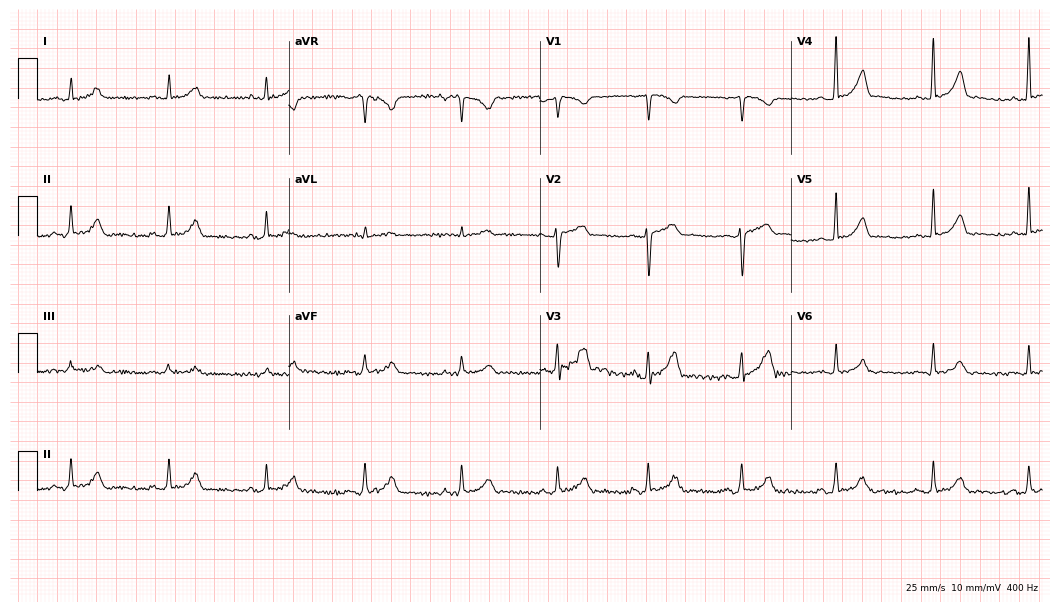
12-lead ECG from a female patient, 44 years old. Labelled as a normal ECG.